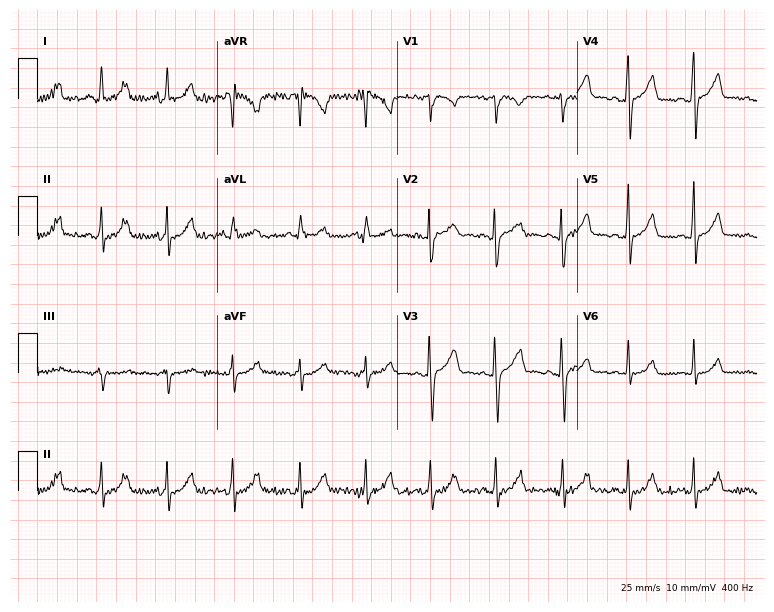
ECG (7.3-second recording at 400 Hz) — a female, 30 years old. Labelled as a normal ECG.